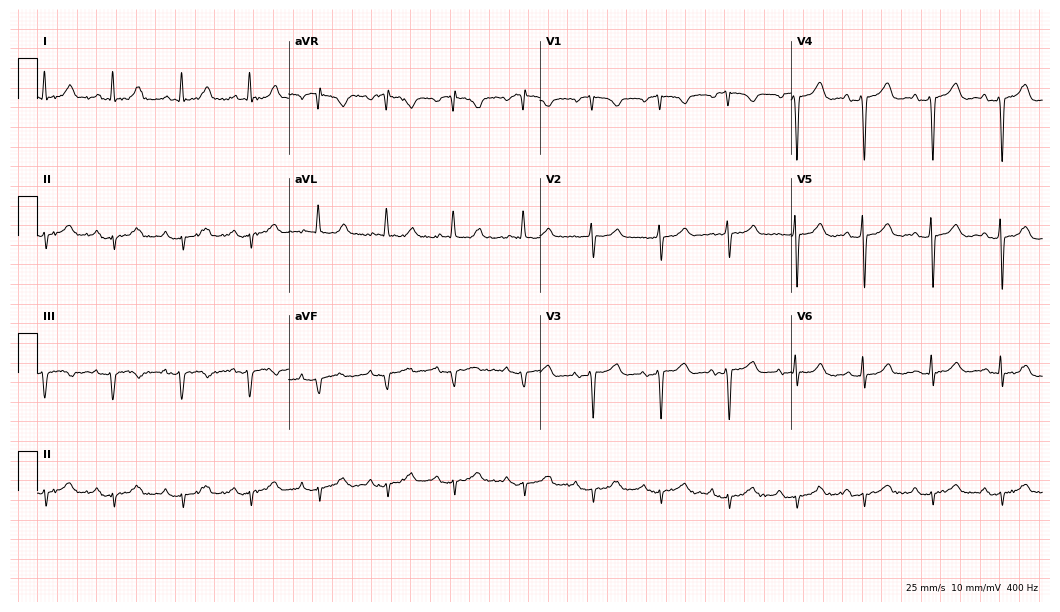
Electrocardiogram (10.2-second recording at 400 Hz), a female, 75 years old. Overall reading on record: normal ECG.